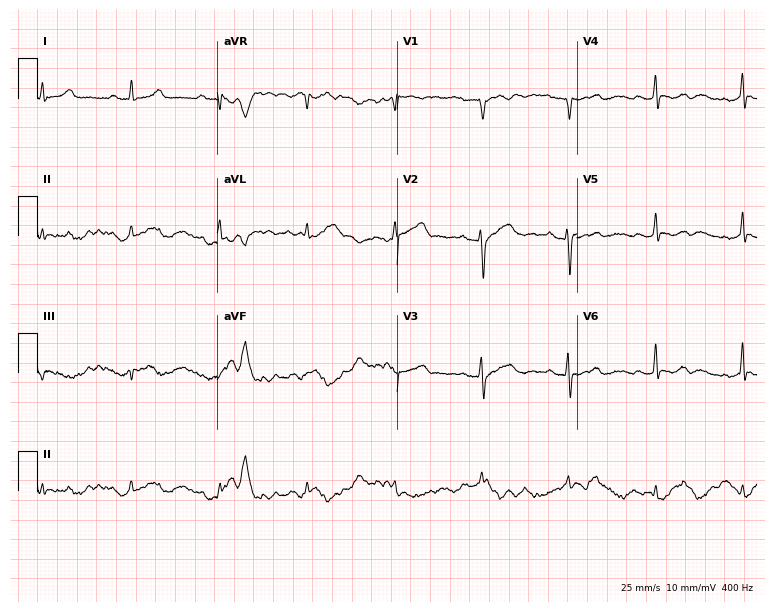
ECG (7.3-second recording at 400 Hz) — a 53-year-old female. Screened for six findings — first-degree AV block, right bundle branch block (RBBB), left bundle branch block (LBBB), sinus bradycardia, atrial fibrillation (AF), sinus tachycardia — none is recorded. Other findings, if any, are not listed.